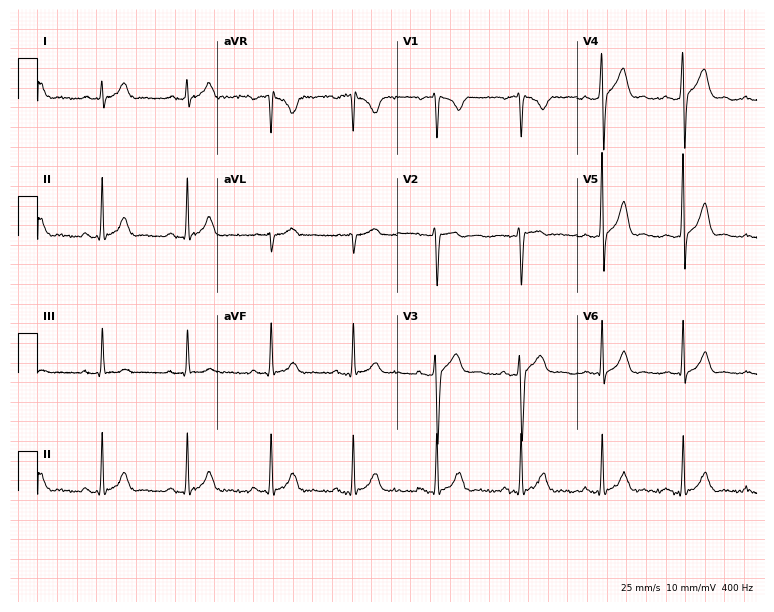
ECG (7.3-second recording at 400 Hz) — a male patient, 29 years old. Labelled as a normal ECG.